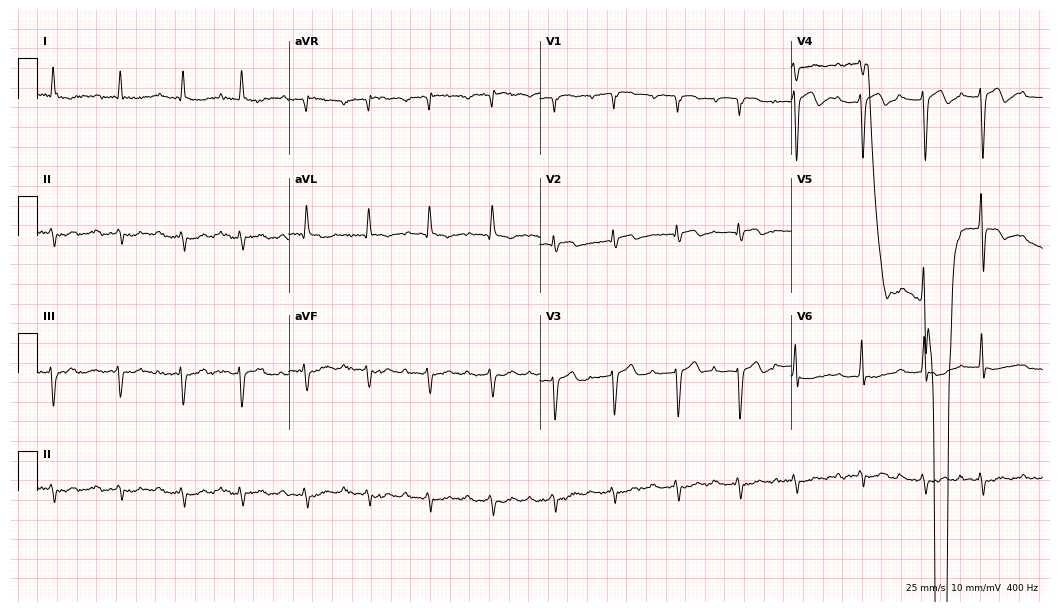
12-lead ECG from an 82-year-old woman. Screened for six findings — first-degree AV block, right bundle branch block, left bundle branch block, sinus bradycardia, atrial fibrillation, sinus tachycardia — none is recorded.